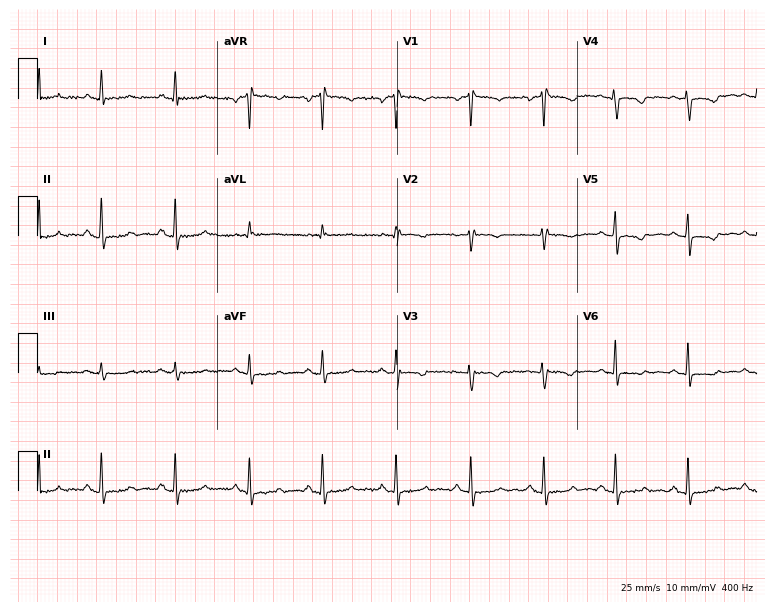
12-lead ECG from a woman, 59 years old (7.3-second recording at 400 Hz). No first-degree AV block, right bundle branch block, left bundle branch block, sinus bradycardia, atrial fibrillation or sinus tachycardia recorded for this tracing.